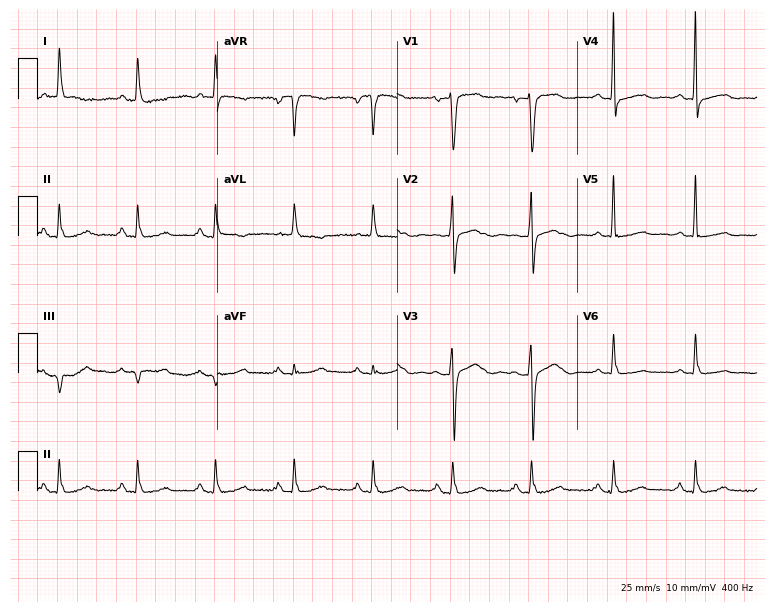
12-lead ECG from a female patient, 68 years old. Screened for six findings — first-degree AV block, right bundle branch block, left bundle branch block, sinus bradycardia, atrial fibrillation, sinus tachycardia — none is recorded.